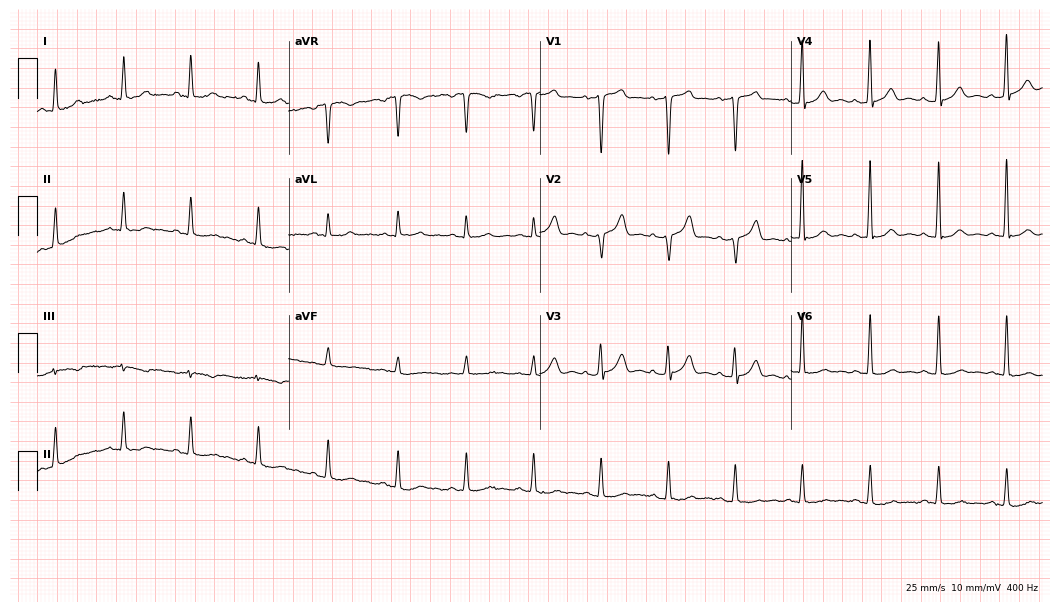
ECG — a 66-year-old man. Screened for six findings — first-degree AV block, right bundle branch block, left bundle branch block, sinus bradycardia, atrial fibrillation, sinus tachycardia — none is recorded. Findings outside these six are not listed.